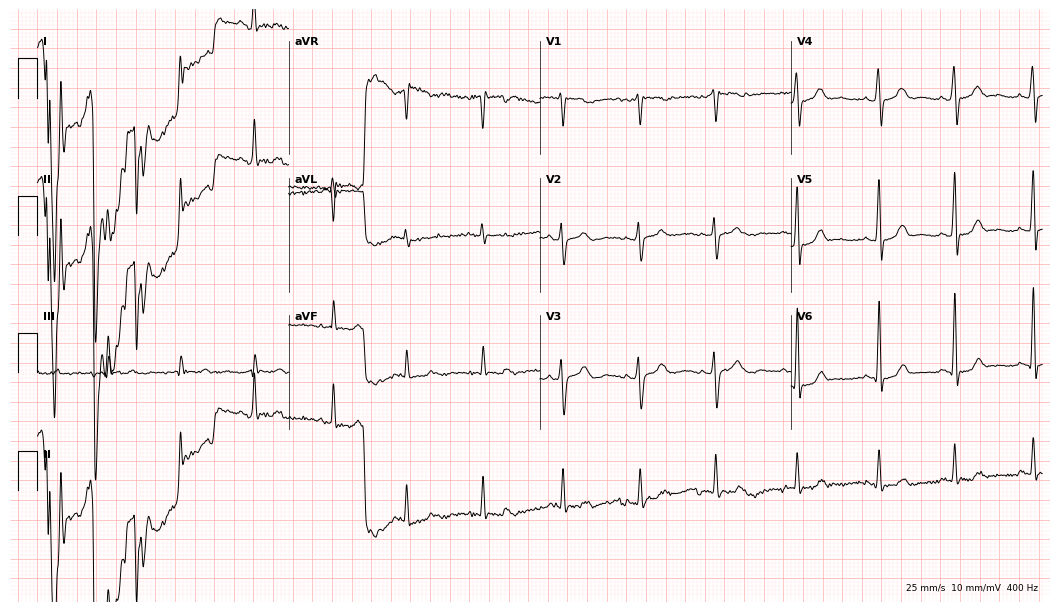
Resting 12-lead electrocardiogram. Patient: a female, 24 years old. Read as a normal ECG.